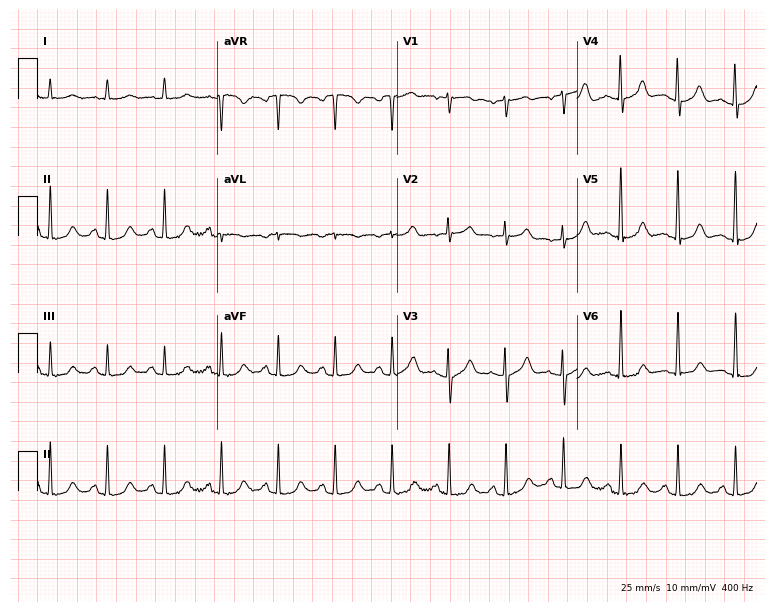
12-lead ECG from a 71-year-old female patient. Findings include sinus tachycardia (a sinus rate of 100 beats per minute or more).